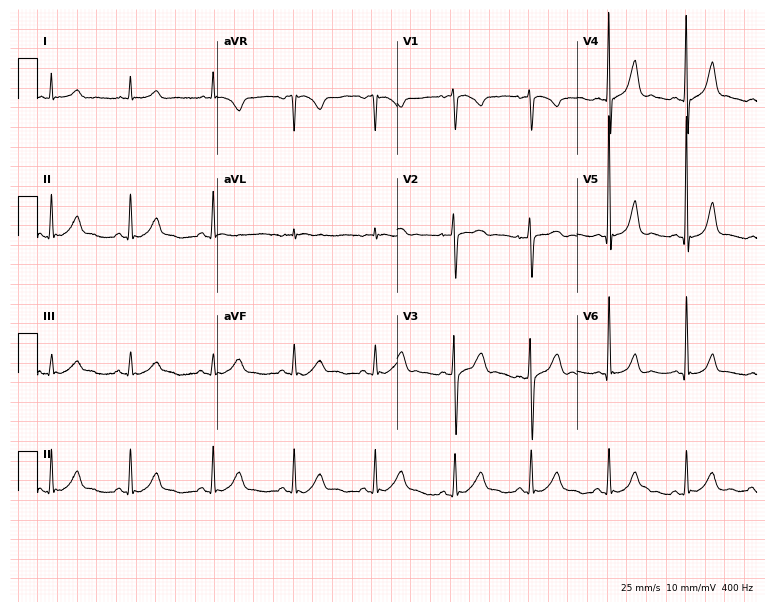
12-lead ECG (7.3-second recording at 400 Hz) from a male patient, 64 years old. Screened for six findings — first-degree AV block, right bundle branch block, left bundle branch block, sinus bradycardia, atrial fibrillation, sinus tachycardia — none is recorded. Findings outside these six are not listed.